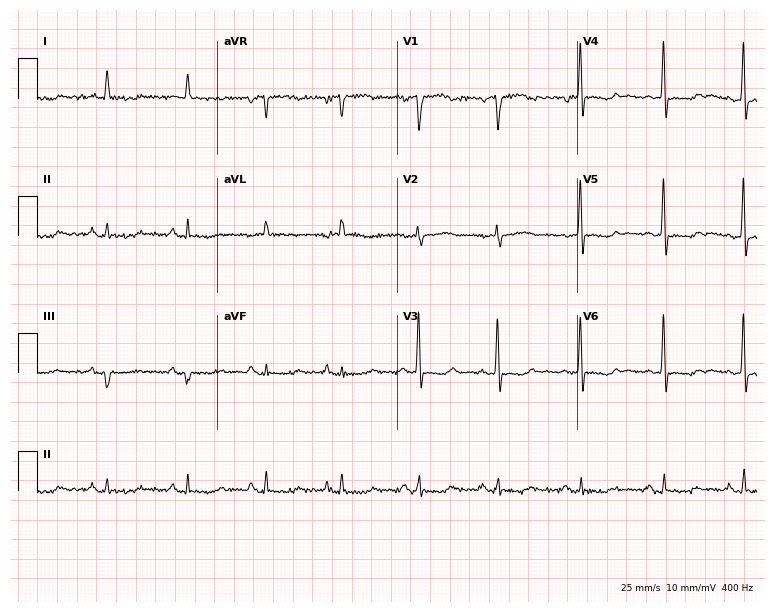
12-lead ECG (7.3-second recording at 400 Hz) from a 72-year-old woman. Screened for six findings — first-degree AV block, right bundle branch block, left bundle branch block, sinus bradycardia, atrial fibrillation, sinus tachycardia — none is recorded. Findings outside these six are not listed.